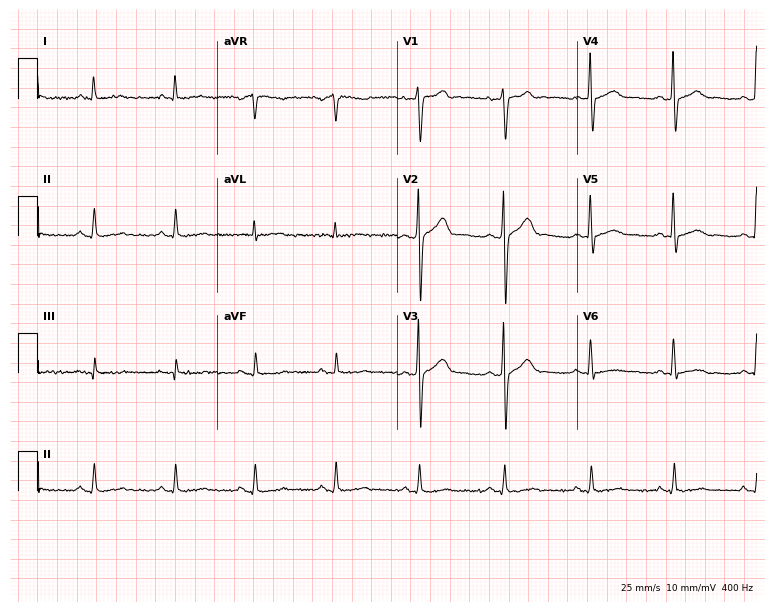
Resting 12-lead electrocardiogram (7.3-second recording at 400 Hz). Patient: a woman, 41 years old. None of these six findings is recorded: first-degree AV block, right bundle branch block (RBBB), left bundle branch block (LBBB), sinus bradycardia, atrial fibrillation (AF), sinus tachycardia. Only these six findings were labelled.